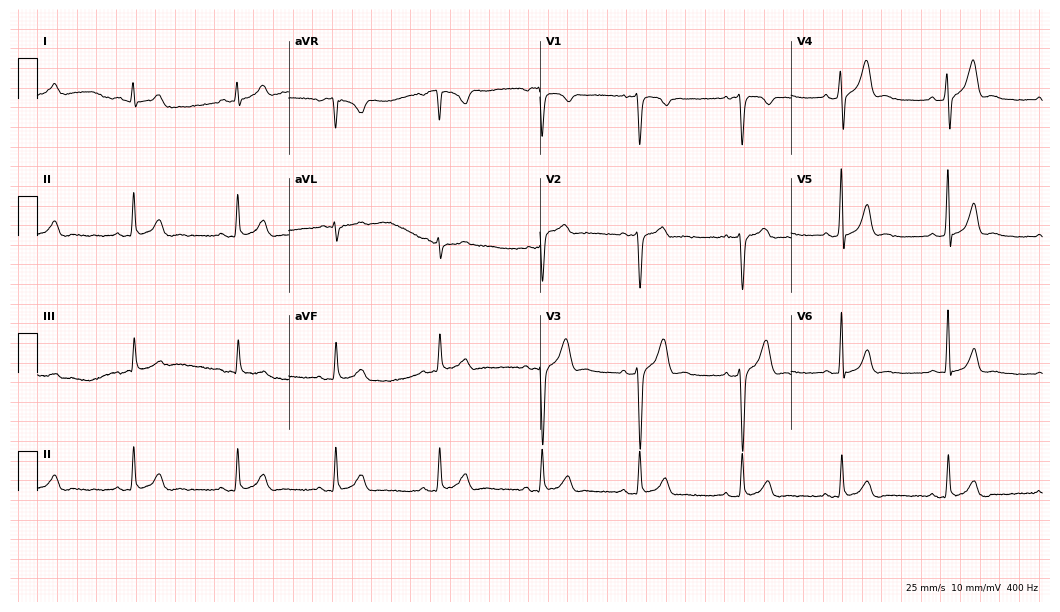
Resting 12-lead electrocardiogram (10.2-second recording at 400 Hz). Patient: a 30-year-old male. None of these six findings is recorded: first-degree AV block, right bundle branch block, left bundle branch block, sinus bradycardia, atrial fibrillation, sinus tachycardia. Other findings, if any, are not listed.